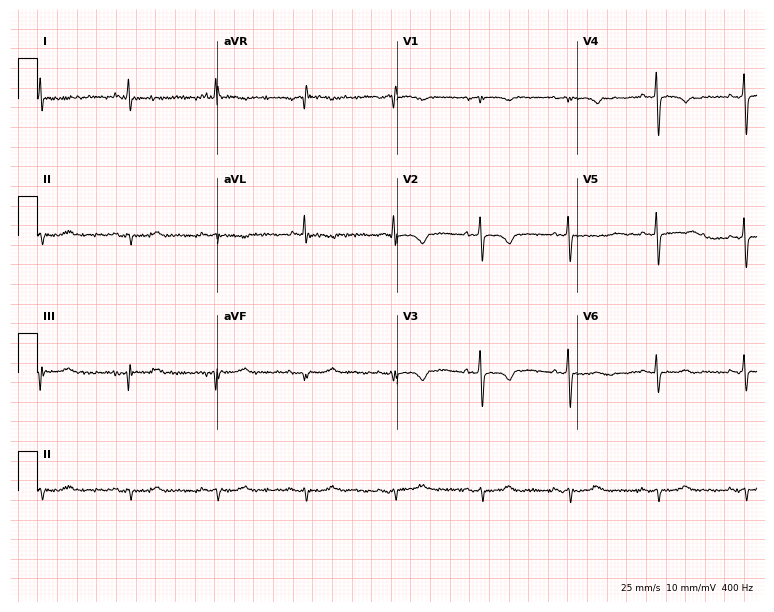
Electrocardiogram (7.3-second recording at 400 Hz), a woman, 75 years old. Of the six screened findings (first-degree AV block, right bundle branch block (RBBB), left bundle branch block (LBBB), sinus bradycardia, atrial fibrillation (AF), sinus tachycardia), none is recorded. Only these six findings were labelled.